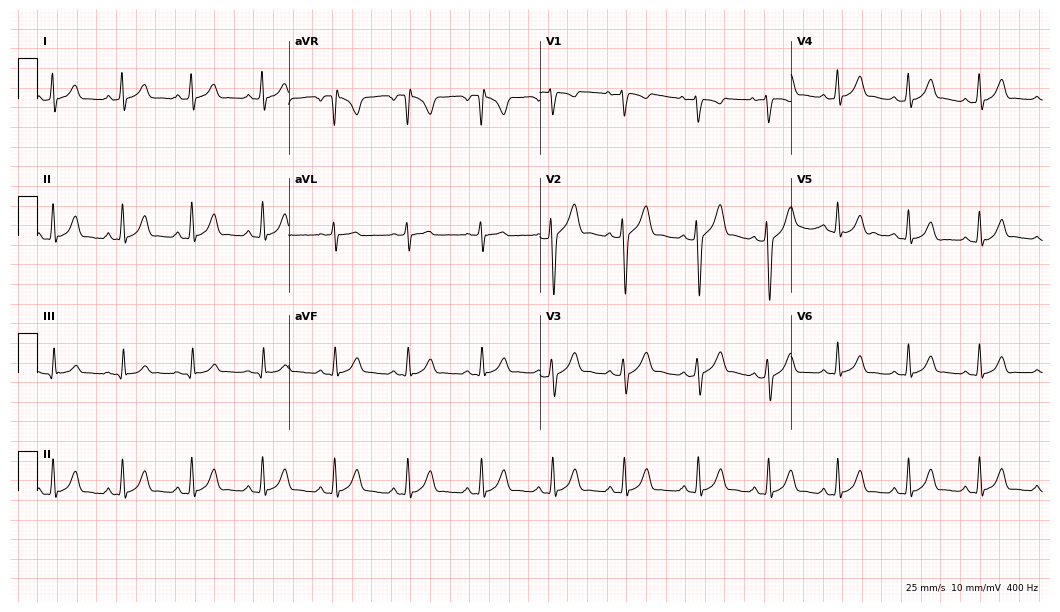
12-lead ECG (10.2-second recording at 400 Hz) from a man, 17 years old. Screened for six findings — first-degree AV block, right bundle branch block, left bundle branch block, sinus bradycardia, atrial fibrillation, sinus tachycardia — none is recorded.